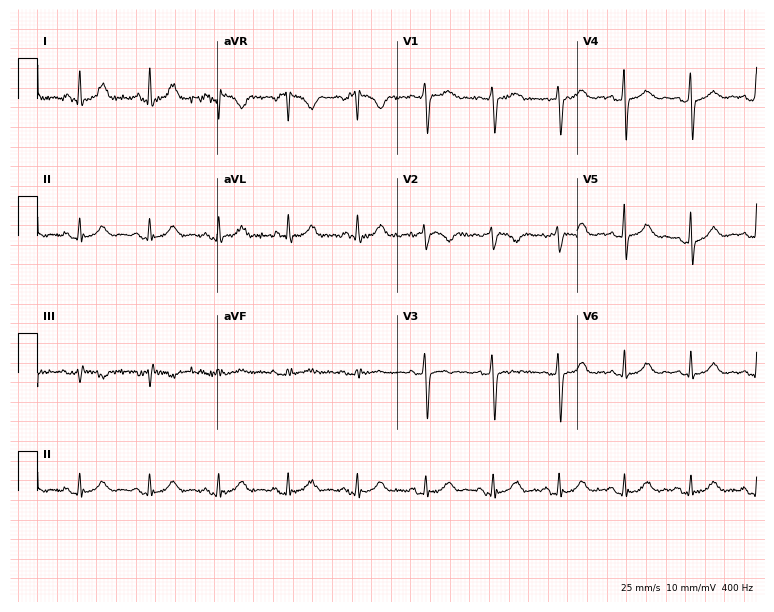
Resting 12-lead electrocardiogram (7.3-second recording at 400 Hz). Patient: a female, 41 years old. Read as a normal ECG.